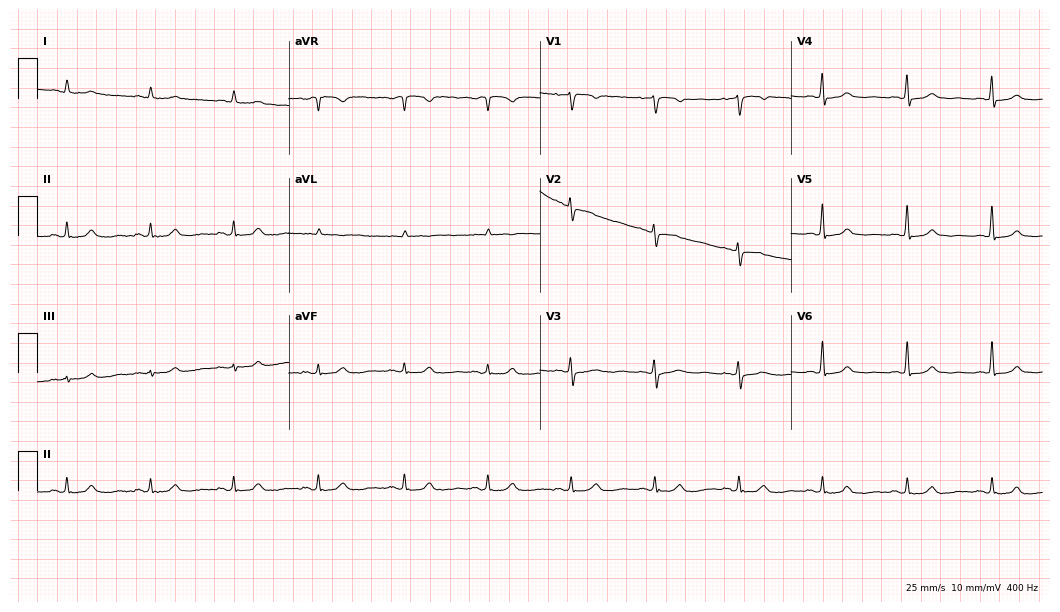
12-lead ECG from a woman, 70 years old (10.2-second recording at 400 Hz). No first-degree AV block, right bundle branch block, left bundle branch block, sinus bradycardia, atrial fibrillation or sinus tachycardia recorded for this tracing. Findings outside these six are not listed.